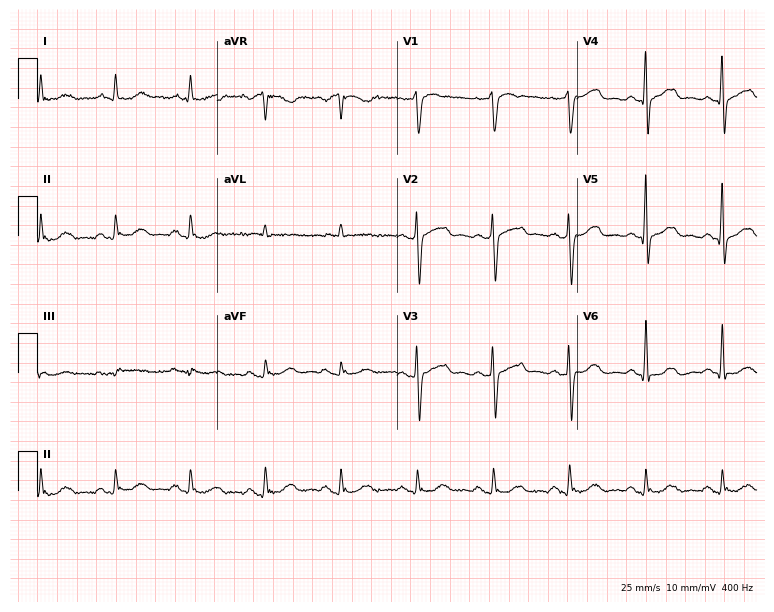
Electrocardiogram, an 81-year-old man. Of the six screened findings (first-degree AV block, right bundle branch block (RBBB), left bundle branch block (LBBB), sinus bradycardia, atrial fibrillation (AF), sinus tachycardia), none is recorded. Other findings, if any, are not listed.